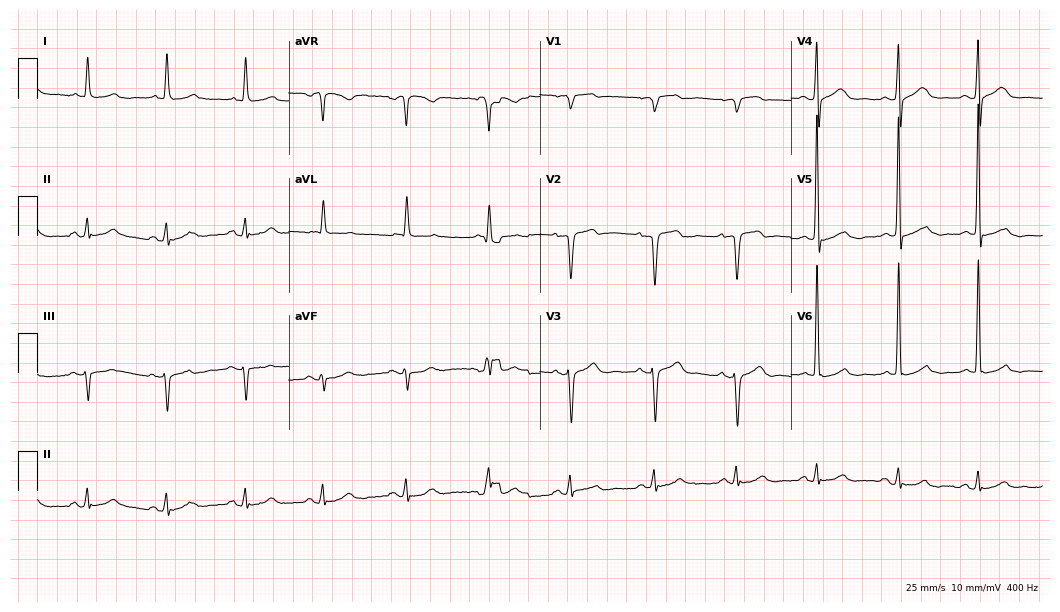
12-lead ECG (10.2-second recording at 400 Hz) from an 83-year-old male patient. Screened for six findings — first-degree AV block, right bundle branch block, left bundle branch block, sinus bradycardia, atrial fibrillation, sinus tachycardia — none is recorded.